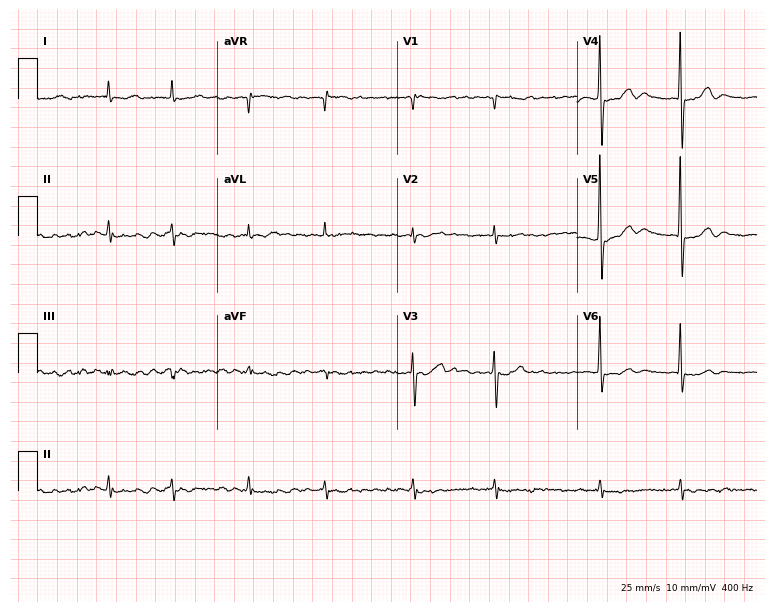
Electrocardiogram (7.3-second recording at 400 Hz), an 85-year-old male patient. Interpretation includes atrial fibrillation.